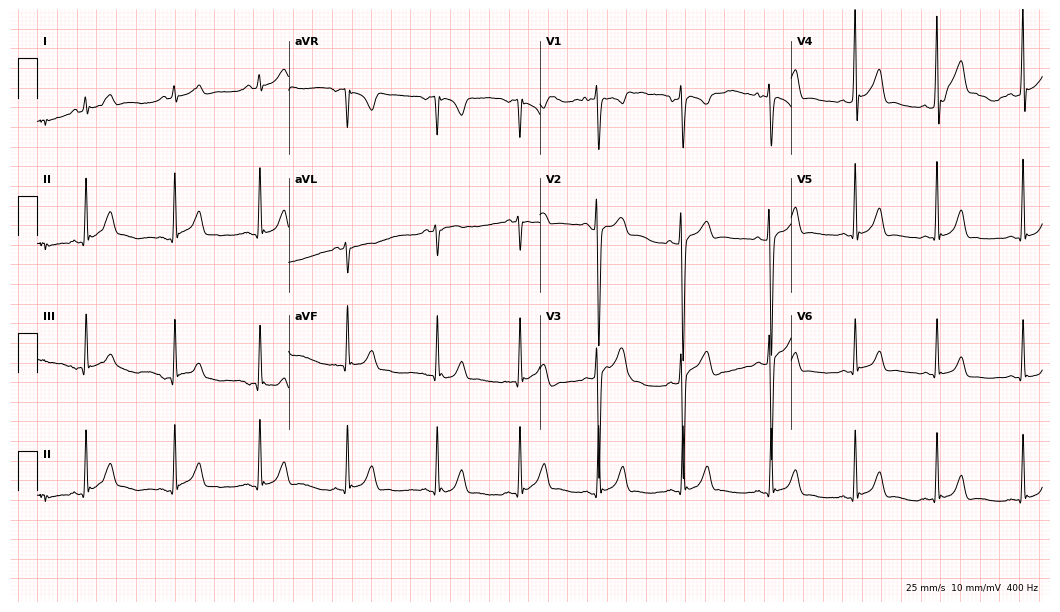
ECG — a 19-year-old male patient. Labelled as a normal ECG.